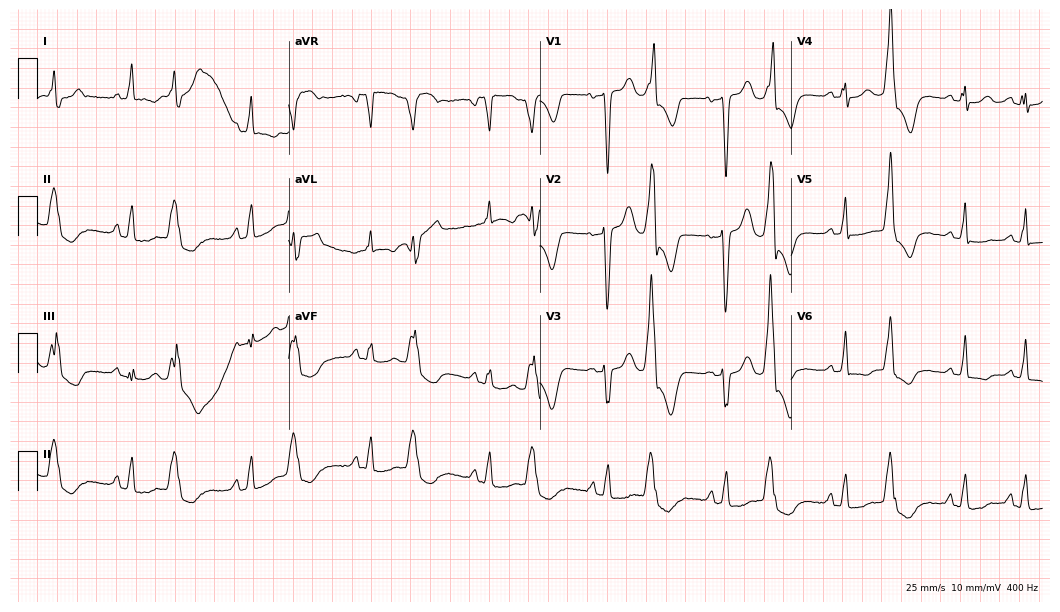
12-lead ECG from a 72-year-old woman. No first-degree AV block, right bundle branch block, left bundle branch block, sinus bradycardia, atrial fibrillation or sinus tachycardia recorded for this tracing. Other findings, if any, are not listed.